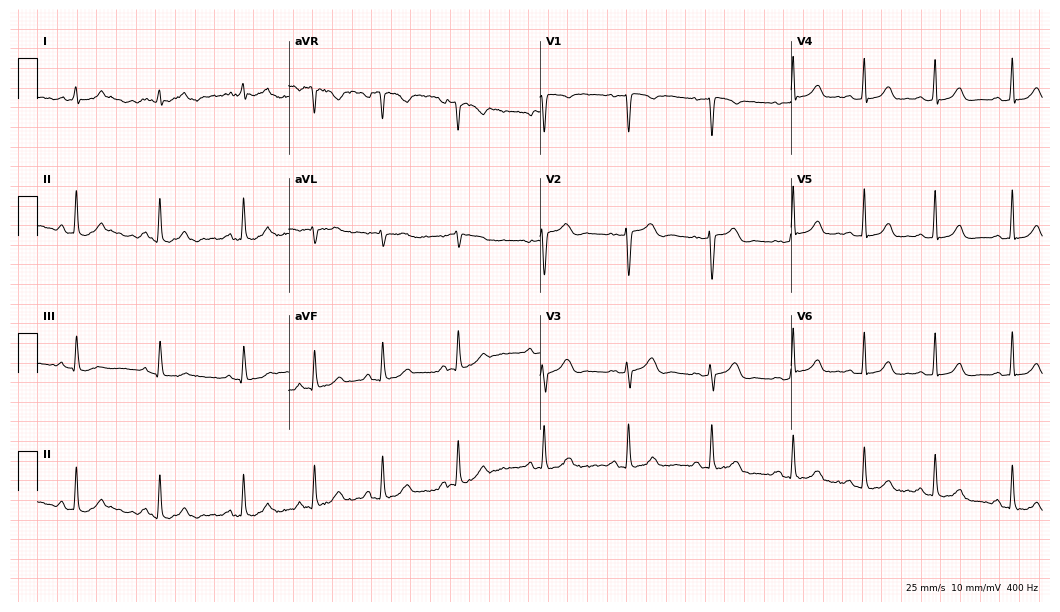
Standard 12-lead ECG recorded from a woman, 32 years old. Read as a normal ECG.